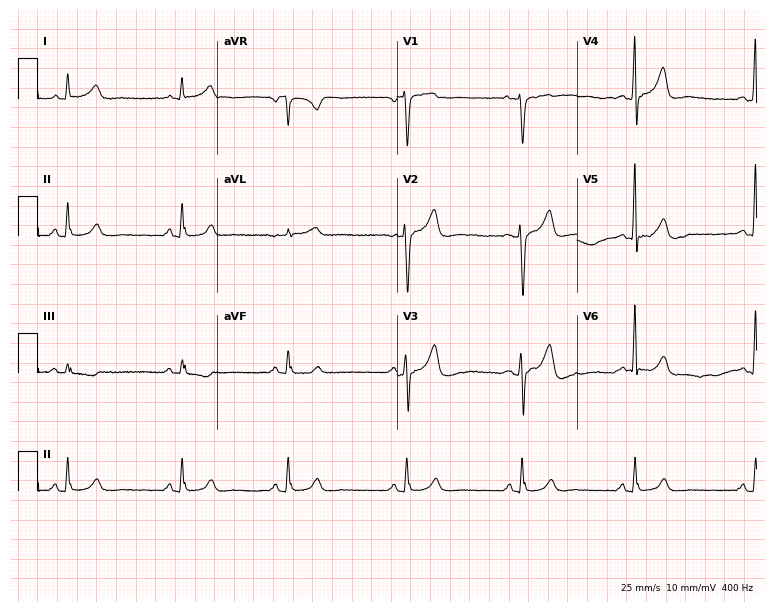
Standard 12-lead ECG recorded from a 43-year-old female patient. None of these six findings is recorded: first-degree AV block, right bundle branch block, left bundle branch block, sinus bradycardia, atrial fibrillation, sinus tachycardia. Other findings, if any, are not listed.